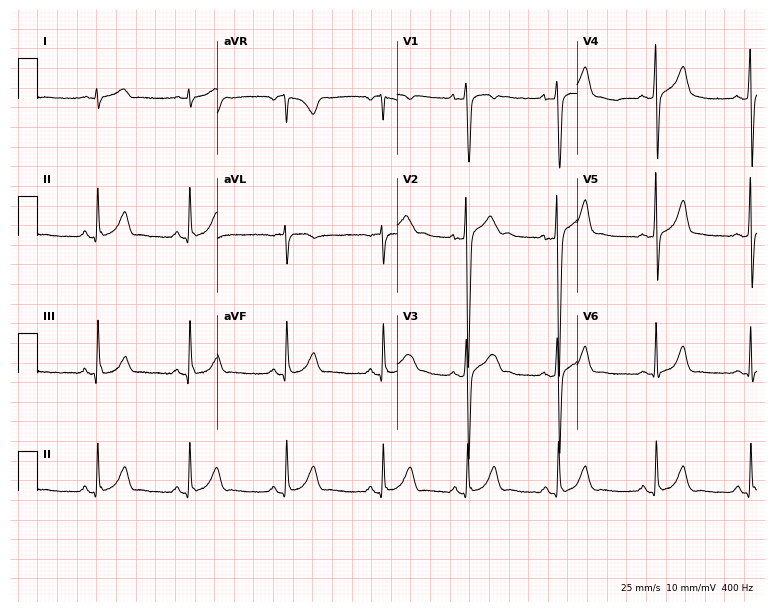
ECG (7.3-second recording at 400 Hz) — a male patient, 23 years old. Labelled as a normal ECG.